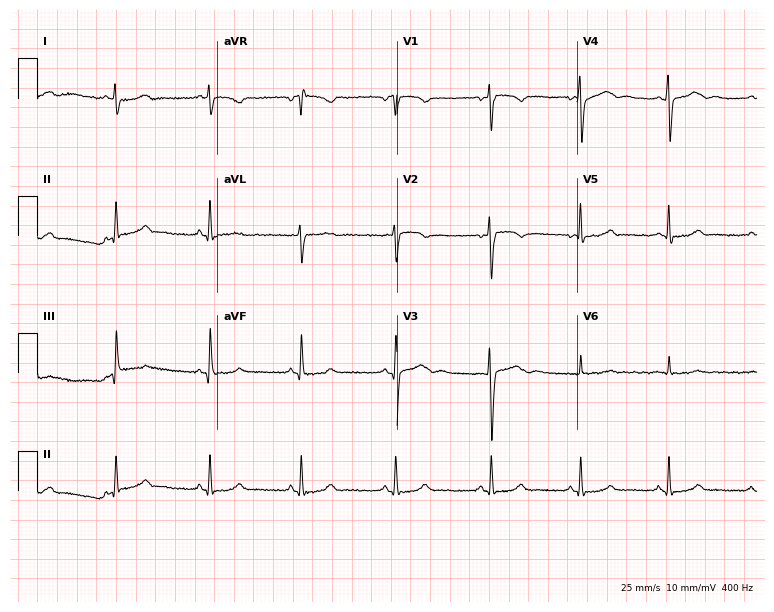
Electrocardiogram, a 28-year-old female. Overall reading on record: normal ECG.